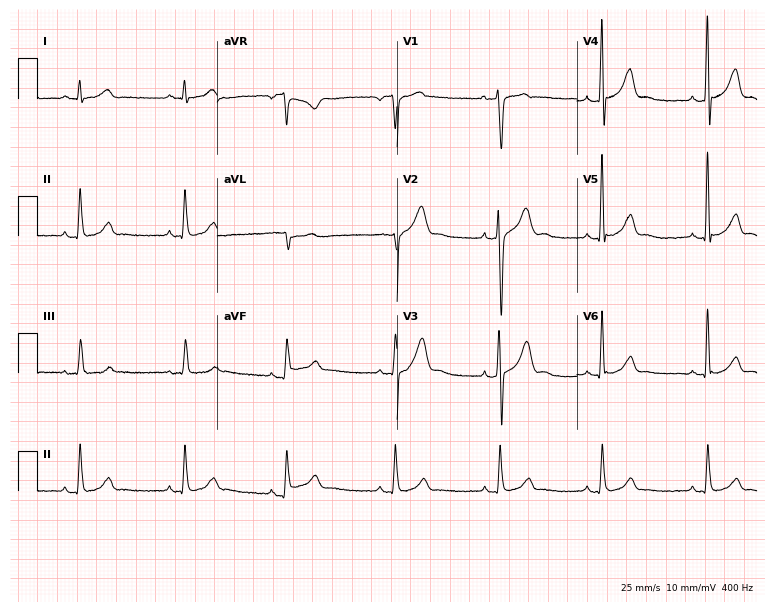
12-lead ECG from a male patient, 29 years old. No first-degree AV block, right bundle branch block, left bundle branch block, sinus bradycardia, atrial fibrillation or sinus tachycardia recorded for this tracing.